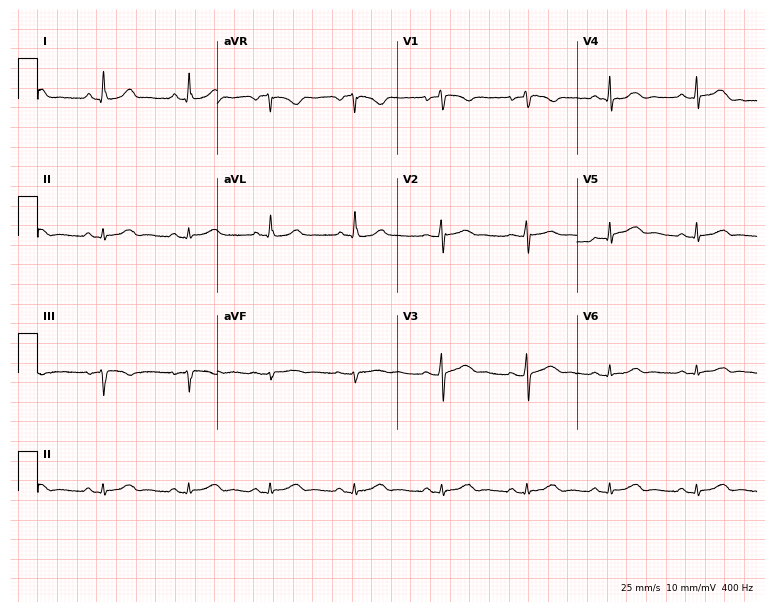
12-lead ECG (7.3-second recording at 400 Hz) from a female patient, 39 years old. Labelled as a normal ECG.